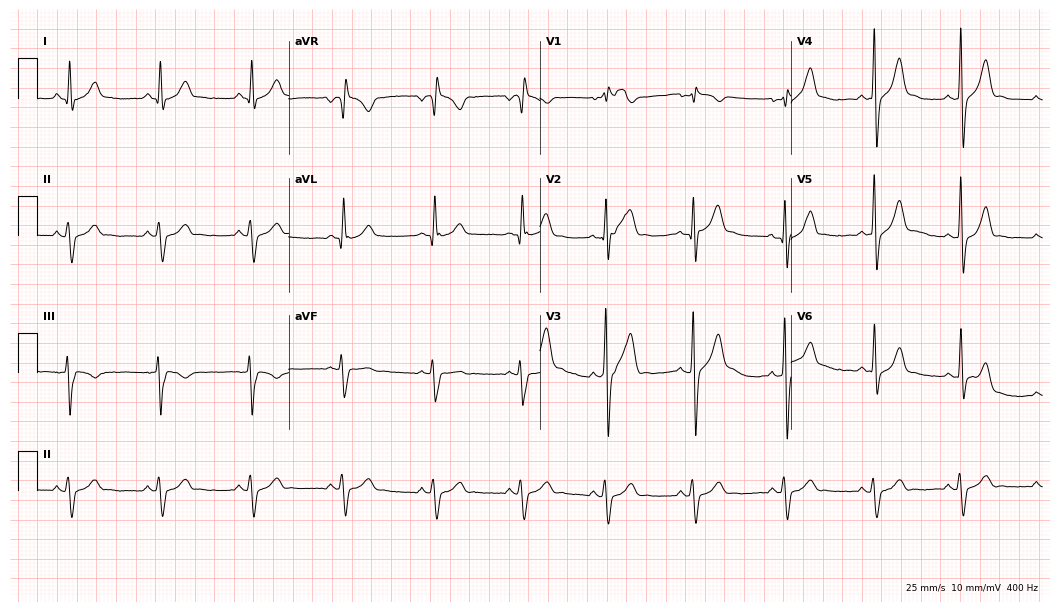
Standard 12-lead ECG recorded from a male patient, 33 years old. None of these six findings is recorded: first-degree AV block, right bundle branch block, left bundle branch block, sinus bradycardia, atrial fibrillation, sinus tachycardia. Only these six findings were labelled.